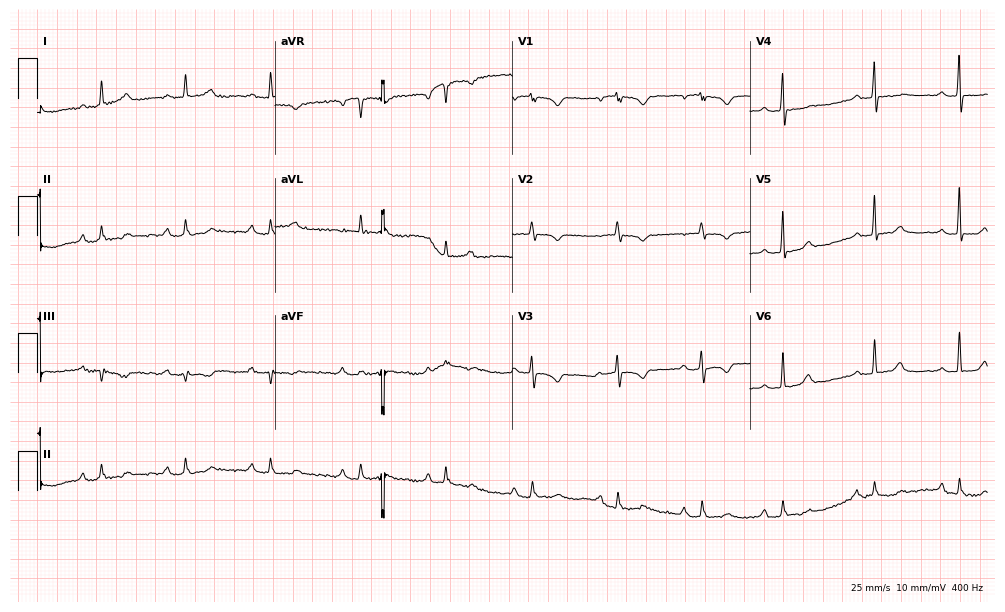
ECG (9.7-second recording at 400 Hz) — a woman, 76 years old. Screened for six findings — first-degree AV block, right bundle branch block, left bundle branch block, sinus bradycardia, atrial fibrillation, sinus tachycardia — none is recorded. Findings outside these six are not listed.